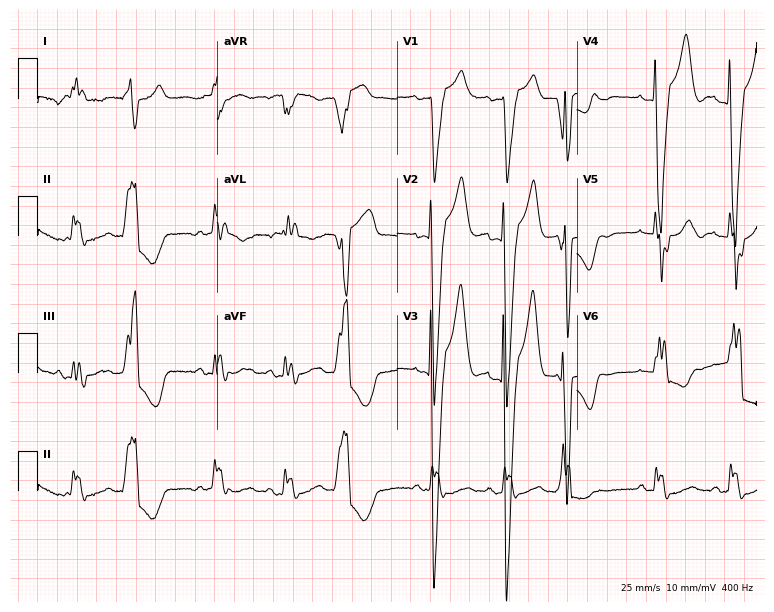
12-lead ECG from a 70-year-old female patient (7.3-second recording at 400 Hz). Shows left bundle branch block (LBBB).